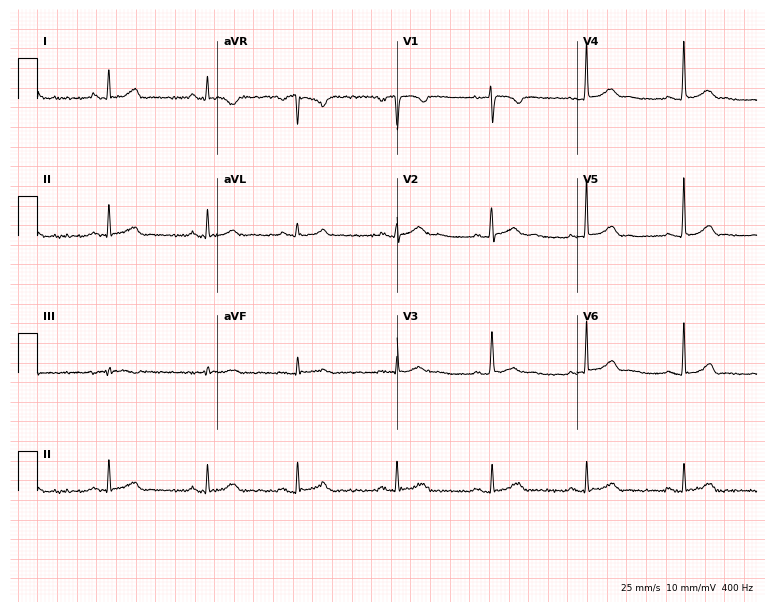
Electrocardiogram, a 21-year-old woman. Overall reading on record: normal ECG.